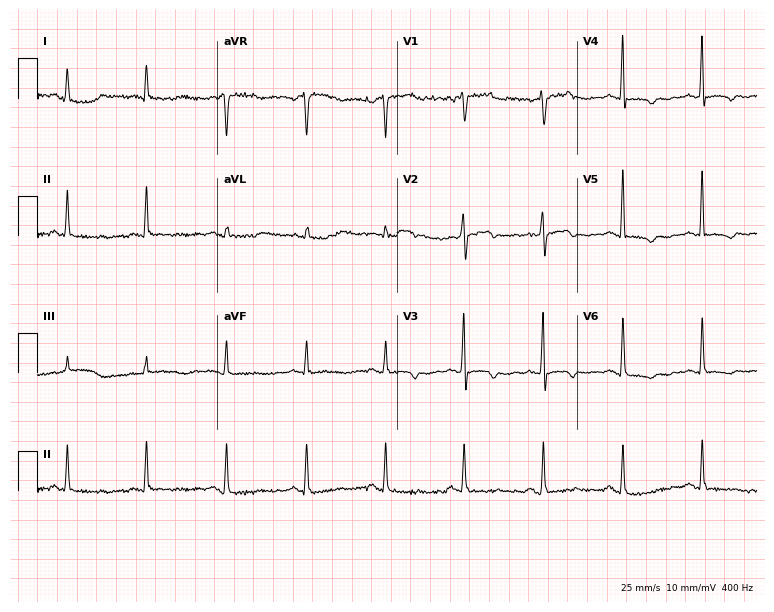
ECG — a female patient, 62 years old. Screened for six findings — first-degree AV block, right bundle branch block (RBBB), left bundle branch block (LBBB), sinus bradycardia, atrial fibrillation (AF), sinus tachycardia — none is recorded. Findings outside these six are not listed.